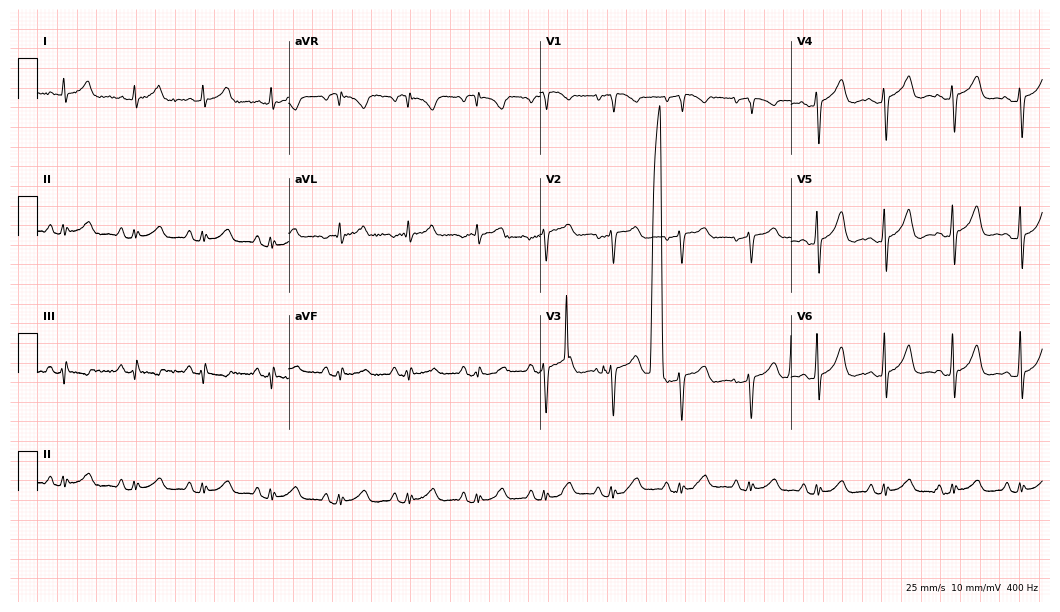
ECG (10.2-second recording at 400 Hz) — a 57-year-old female patient. Screened for six findings — first-degree AV block, right bundle branch block, left bundle branch block, sinus bradycardia, atrial fibrillation, sinus tachycardia — none is recorded. Findings outside these six are not listed.